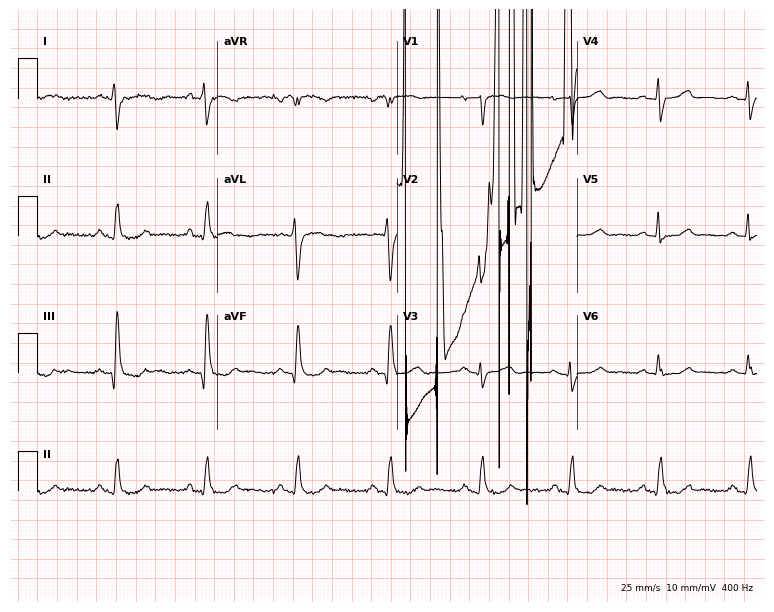
12-lead ECG from a female patient, 70 years old. Screened for six findings — first-degree AV block, right bundle branch block, left bundle branch block, sinus bradycardia, atrial fibrillation, sinus tachycardia — none is recorded. Findings outside these six are not listed.